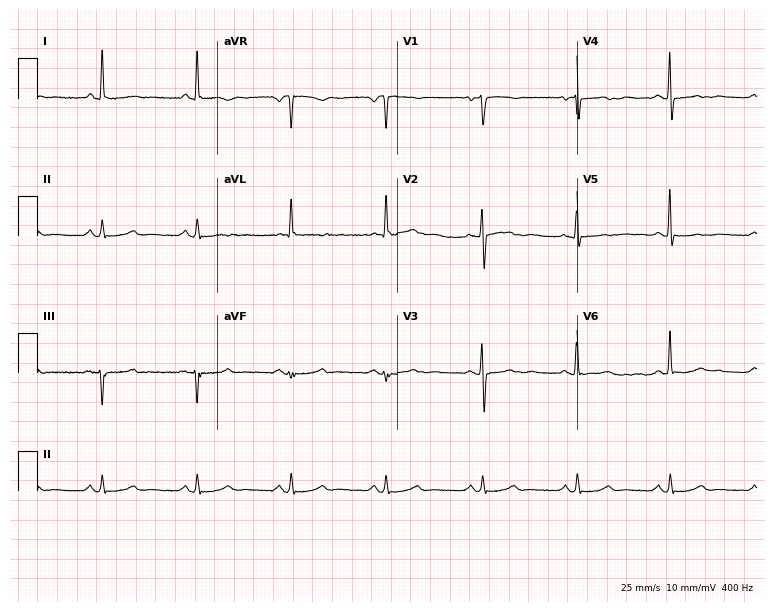
Electrocardiogram, a female patient, 63 years old. Of the six screened findings (first-degree AV block, right bundle branch block (RBBB), left bundle branch block (LBBB), sinus bradycardia, atrial fibrillation (AF), sinus tachycardia), none is recorded. Findings outside these six are not listed.